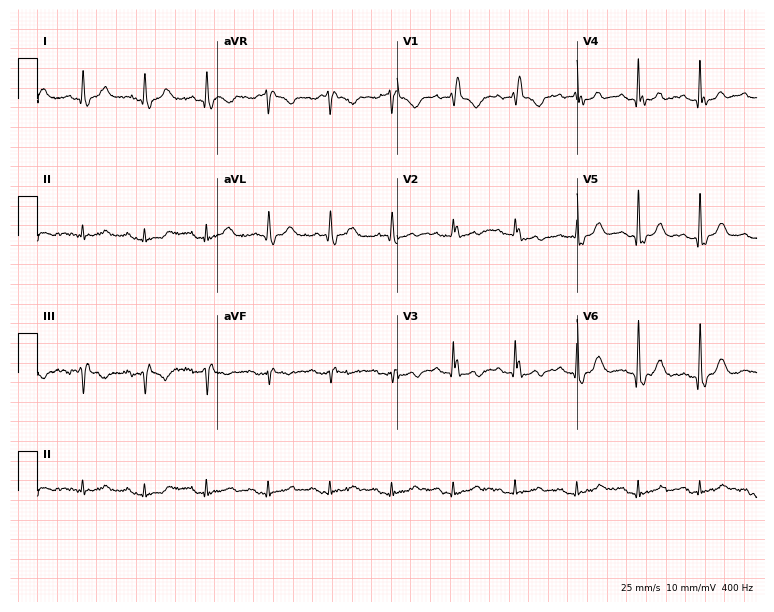
12-lead ECG (7.3-second recording at 400 Hz) from a female patient, 75 years old. Screened for six findings — first-degree AV block, right bundle branch block, left bundle branch block, sinus bradycardia, atrial fibrillation, sinus tachycardia — none is recorded. Findings outside these six are not listed.